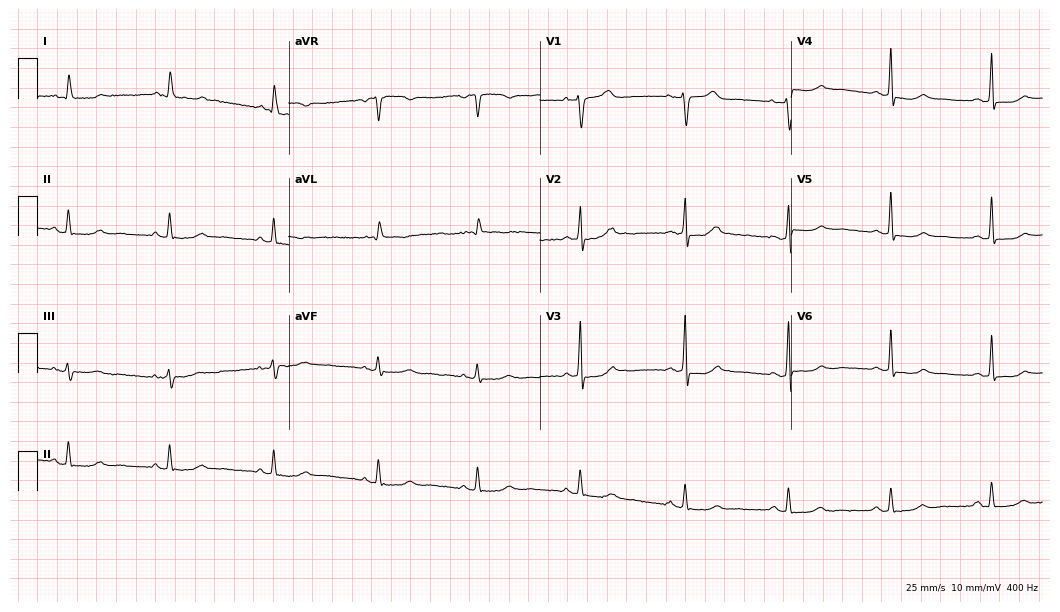
12-lead ECG from a 59-year-old female patient. Screened for six findings — first-degree AV block, right bundle branch block (RBBB), left bundle branch block (LBBB), sinus bradycardia, atrial fibrillation (AF), sinus tachycardia — none is recorded. Findings outside these six are not listed.